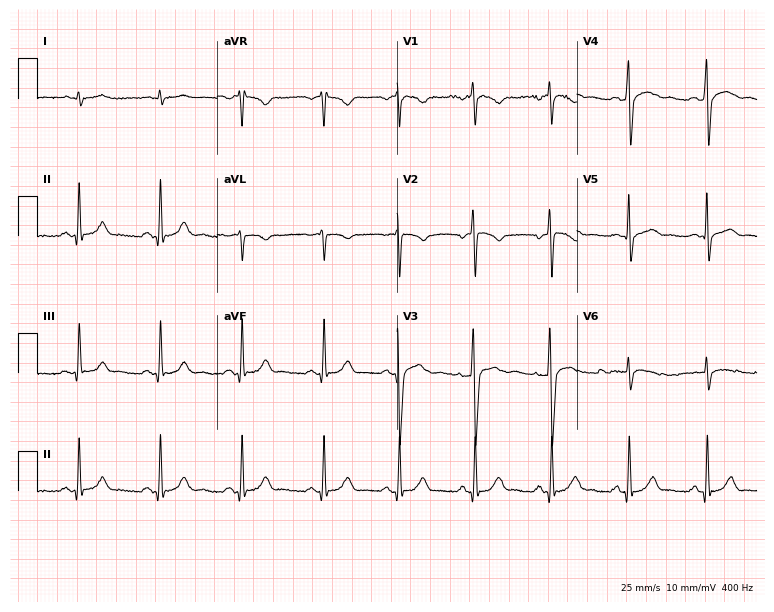
Standard 12-lead ECG recorded from a male patient, 28 years old. None of these six findings is recorded: first-degree AV block, right bundle branch block, left bundle branch block, sinus bradycardia, atrial fibrillation, sinus tachycardia.